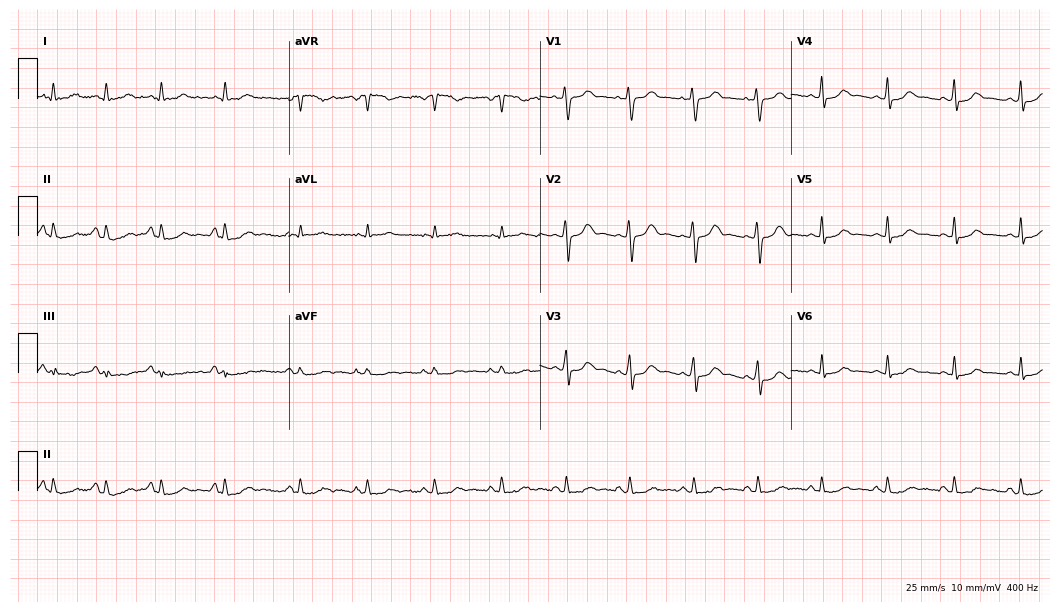
Electrocardiogram, a 22-year-old woman. Overall reading on record: normal ECG.